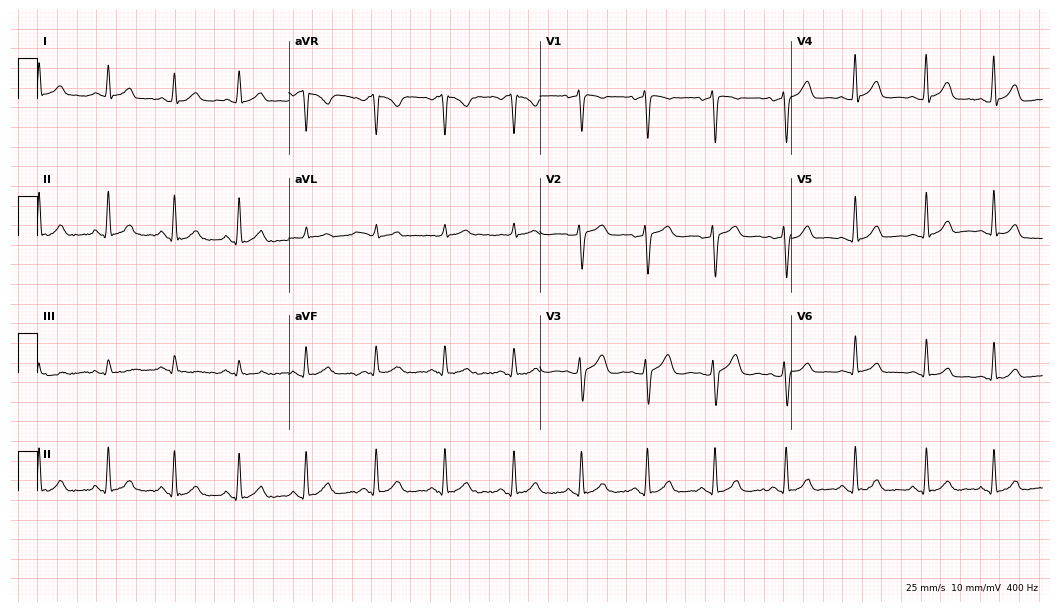
12-lead ECG from a female, 38 years old. Labelled as a normal ECG.